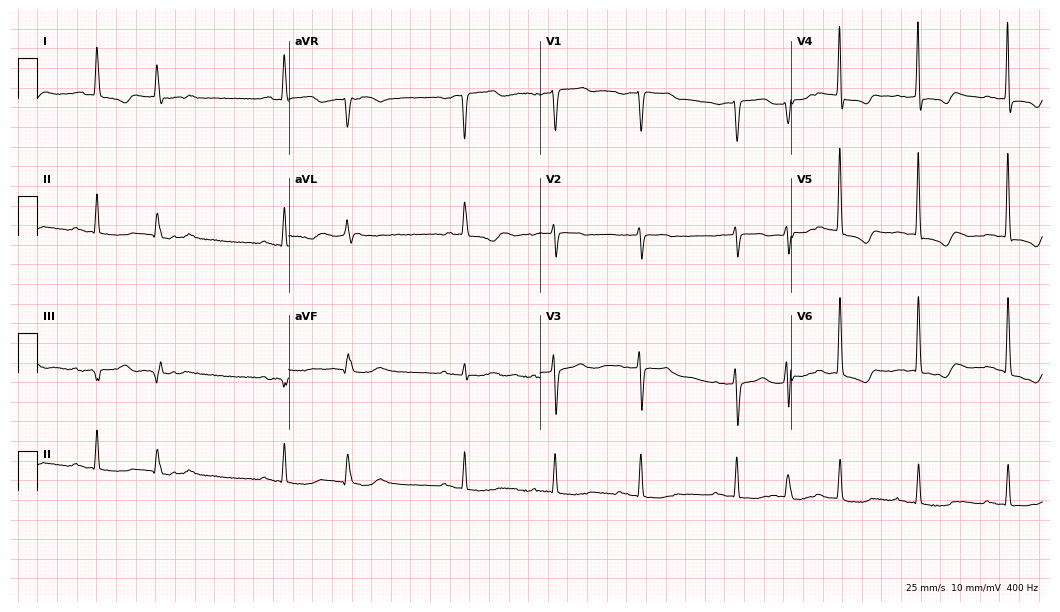
ECG (10.2-second recording at 400 Hz) — a woman, 83 years old. Screened for six findings — first-degree AV block, right bundle branch block, left bundle branch block, sinus bradycardia, atrial fibrillation, sinus tachycardia — none is recorded. Only these six findings were labelled.